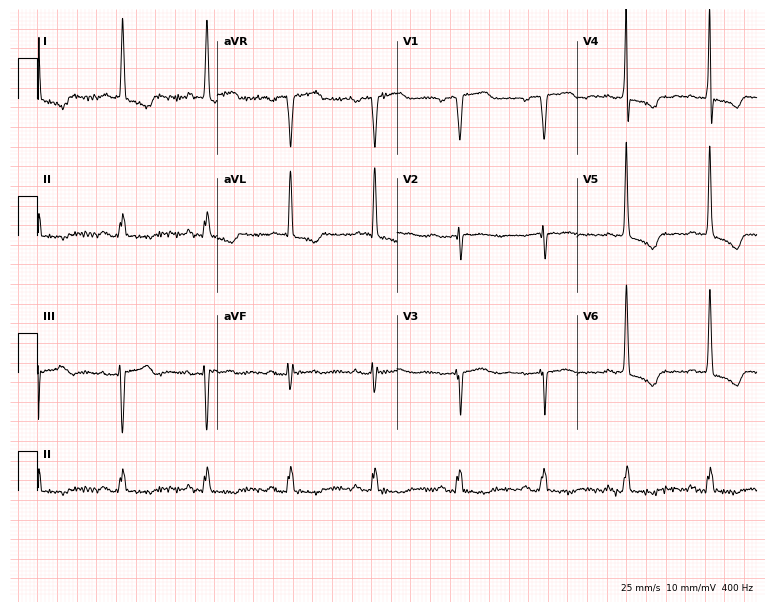
ECG — a female, 82 years old. Screened for six findings — first-degree AV block, right bundle branch block (RBBB), left bundle branch block (LBBB), sinus bradycardia, atrial fibrillation (AF), sinus tachycardia — none is recorded. Only these six findings were labelled.